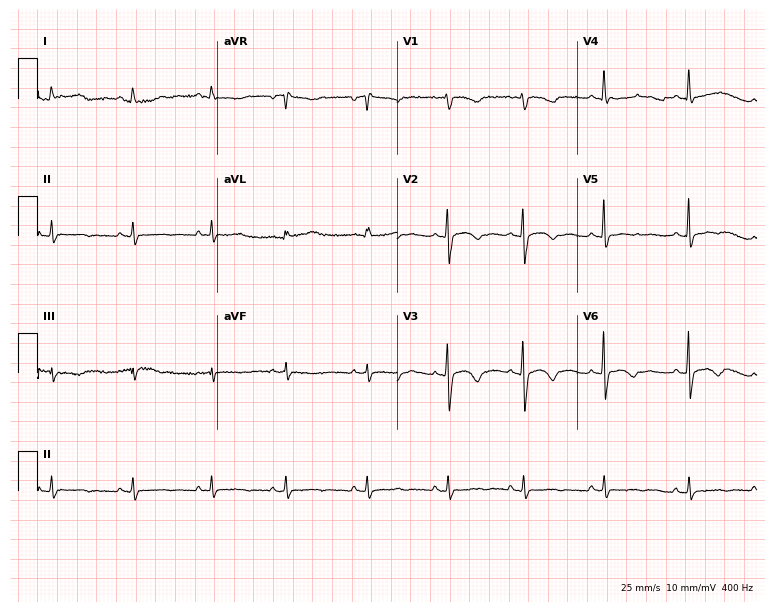
12-lead ECG from a female patient, 17 years old. Screened for six findings — first-degree AV block, right bundle branch block, left bundle branch block, sinus bradycardia, atrial fibrillation, sinus tachycardia — none is recorded.